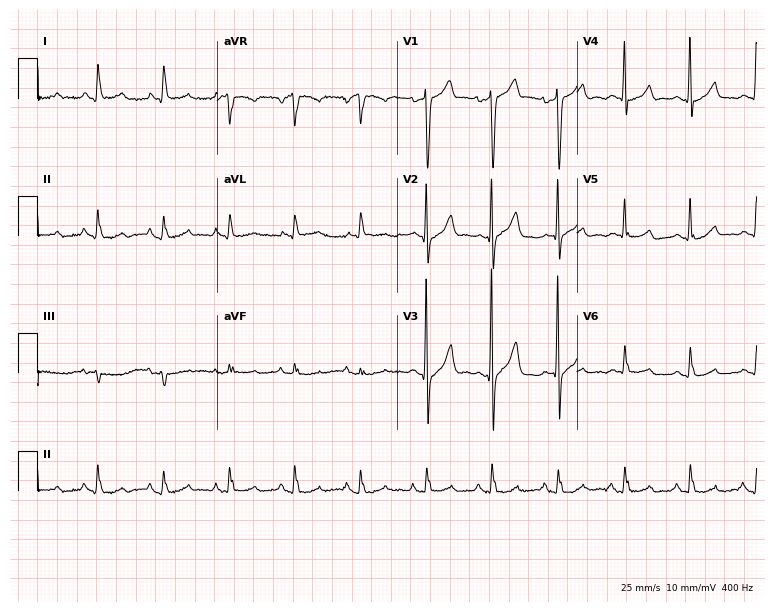
12-lead ECG from a male patient, 68 years old. Labelled as a normal ECG.